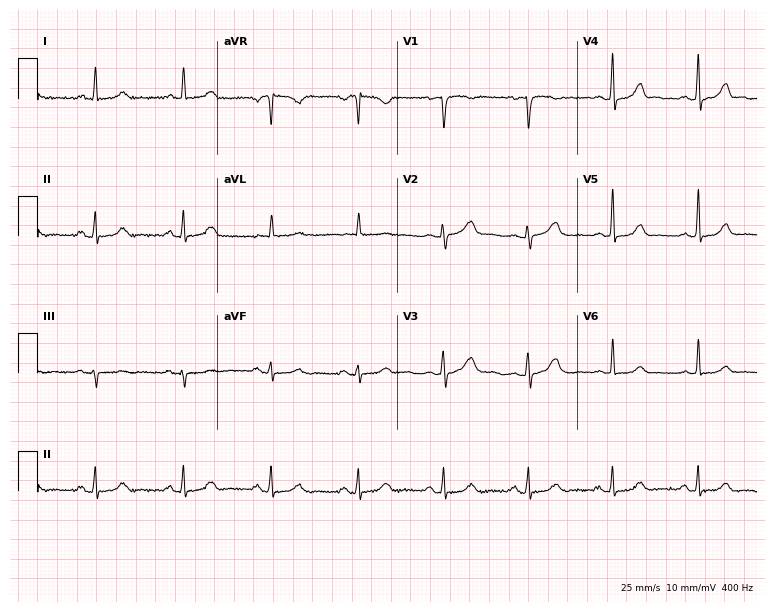
12-lead ECG from a woman, 50 years old. Recorded interpretation: within normal limits.